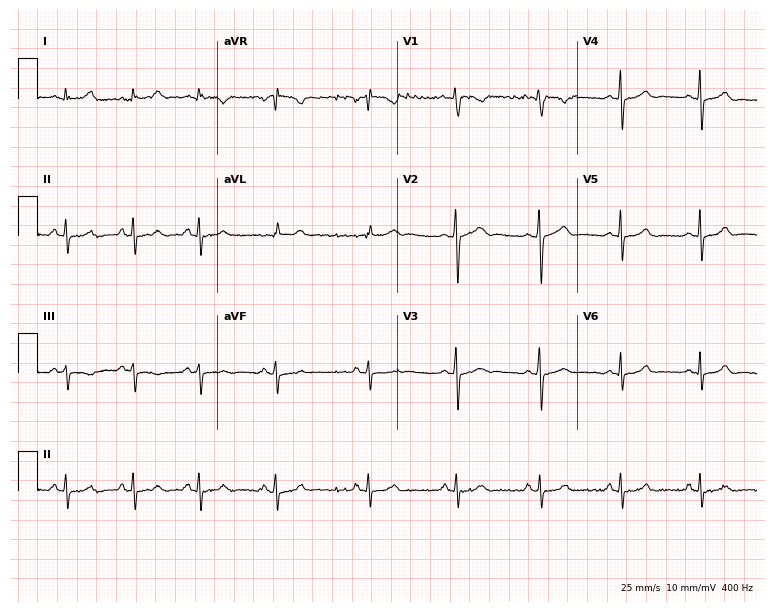
Electrocardiogram, a female patient, 17 years old. Of the six screened findings (first-degree AV block, right bundle branch block, left bundle branch block, sinus bradycardia, atrial fibrillation, sinus tachycardia), none is recorded. Findings outside these six are not listed.